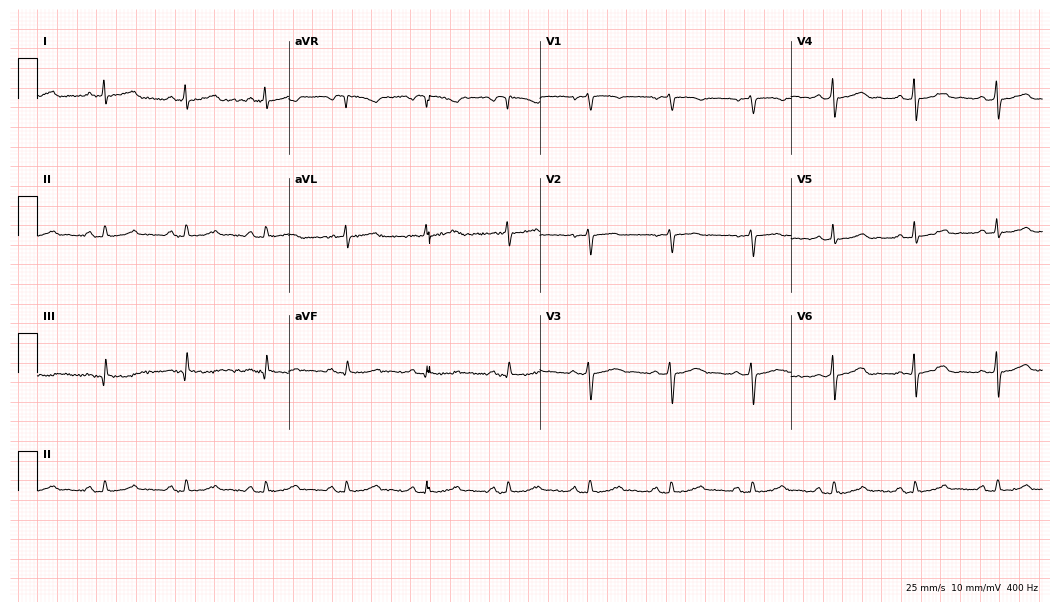
Resting 12-lead electrocardiogram. Patient: a 40-year-old female. Read as a normal ECG.